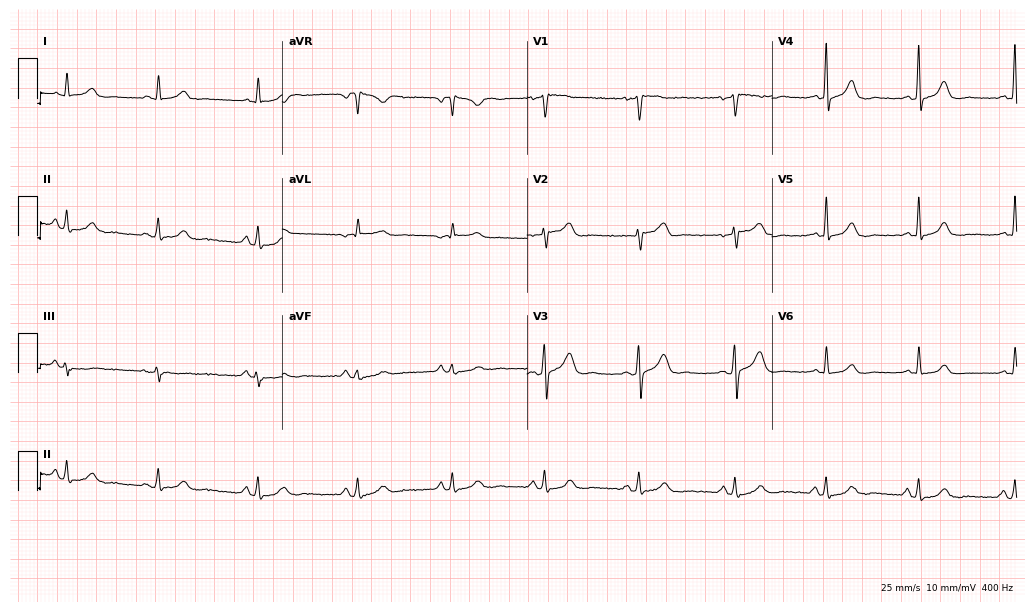
Standard 12-lead ECG recorded from a female, 40 years old. Read as a normal ECG.